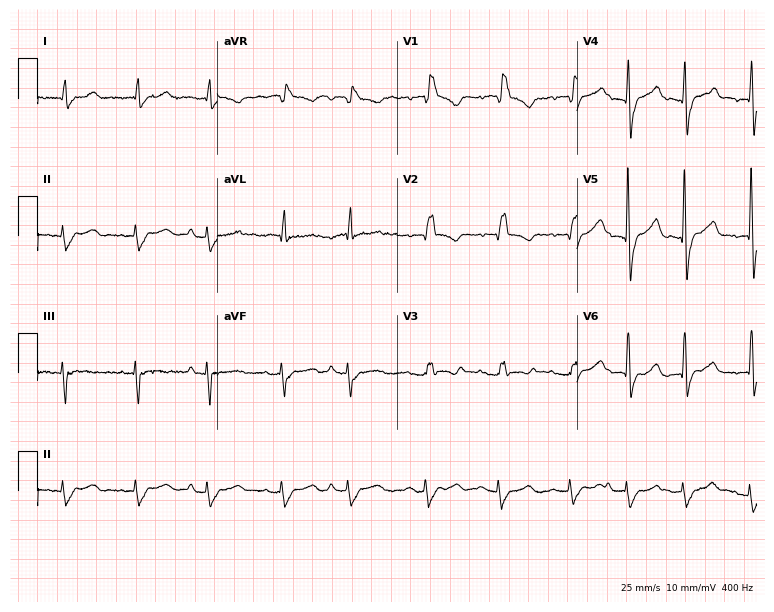
Standard 12-lead ECG recorded from a female, 67 years old (7.3-second recording at 400 Hz). The tracing shows right bundle branch block.